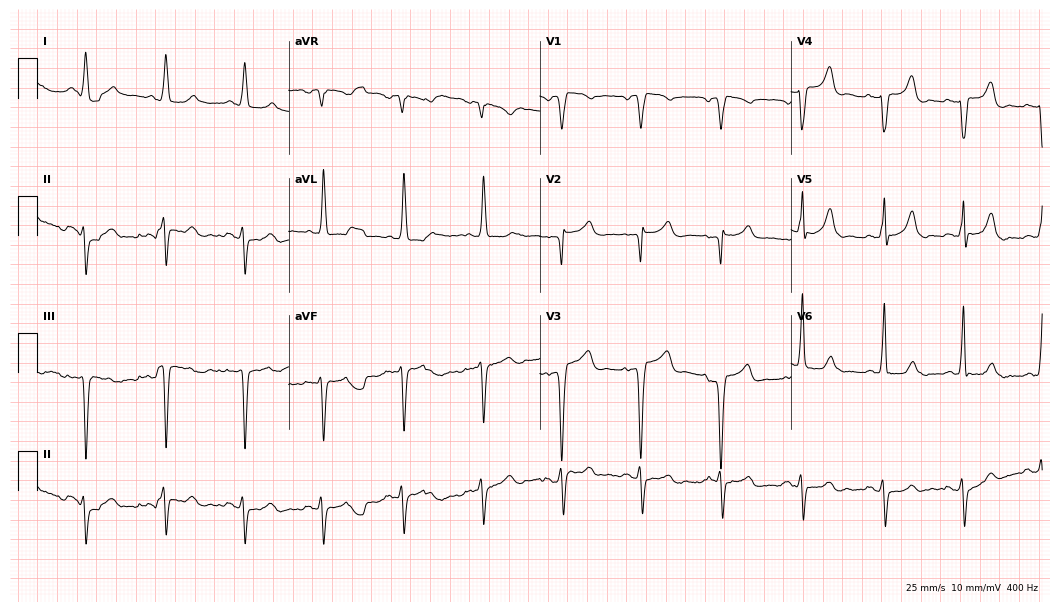
Standard 12-lead ECG recorded from a woman, 74 years old. None of these six findings is recorded: first-degree AV block, right bundle branch block, left bundle branch block, sinus bradycardia, atrial fibrillation, sinus tachycardia.